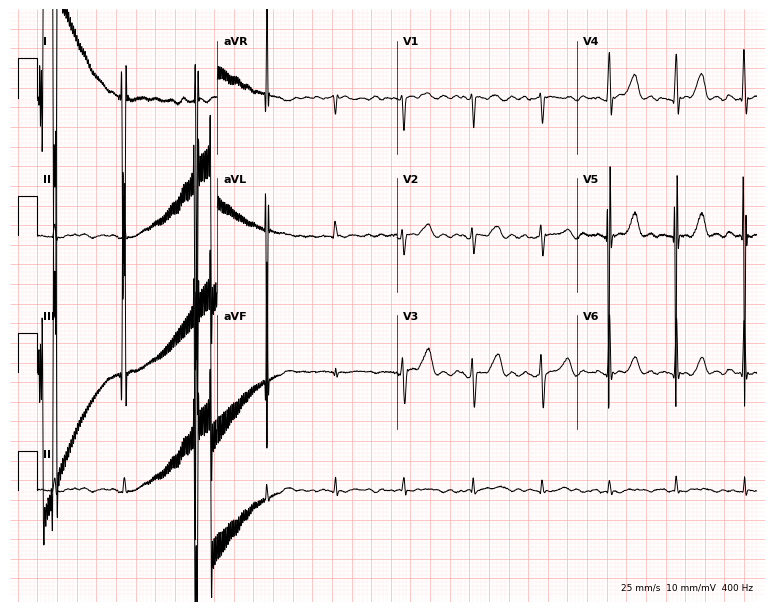
12-lead ECG (7.3-second recording at 400 Hz) from a 78-year-old woman. Screened for six findings — first-degree AV block, right bundle branch block, left bundle branch block, sinus bradycardia, atrial fibrillation, sinus tachycardia — none is recorded.